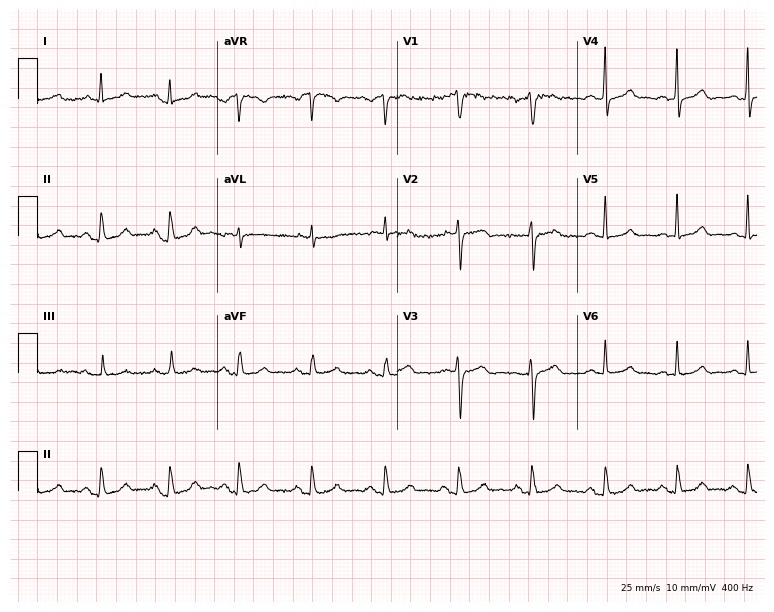
12-lead ECG from a 78-year-old man (7.3-second recording at 400 Hz). Recorded interpretation: within normal limits.